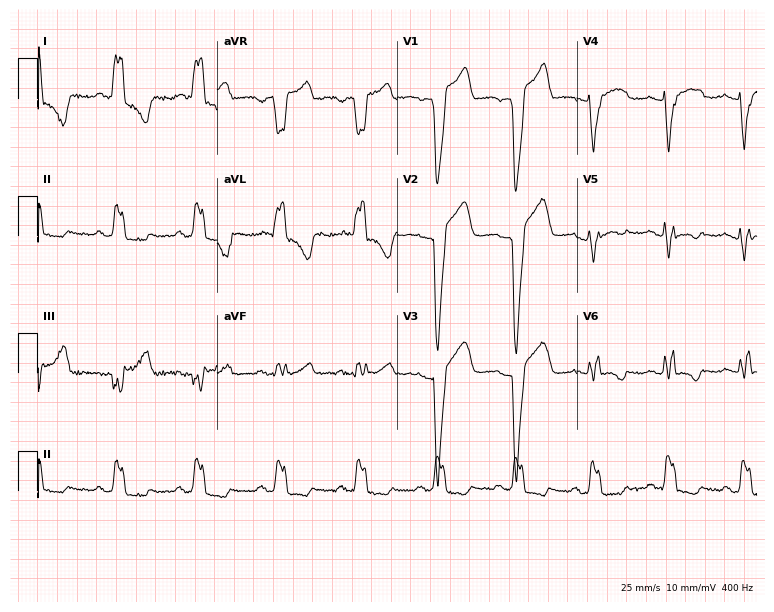
Standard 12-lead ECG recorded from a 57-year-old female (7.3-second recording at 400 Hz). None of these six findings is recorded: first-degree AV block, right bundle branch block (RBBB), left bundle branch block (LBBB), sinus bradycardia, atrial fibrillation (AF), sinus tachycardia. Only these six findings were labelled.